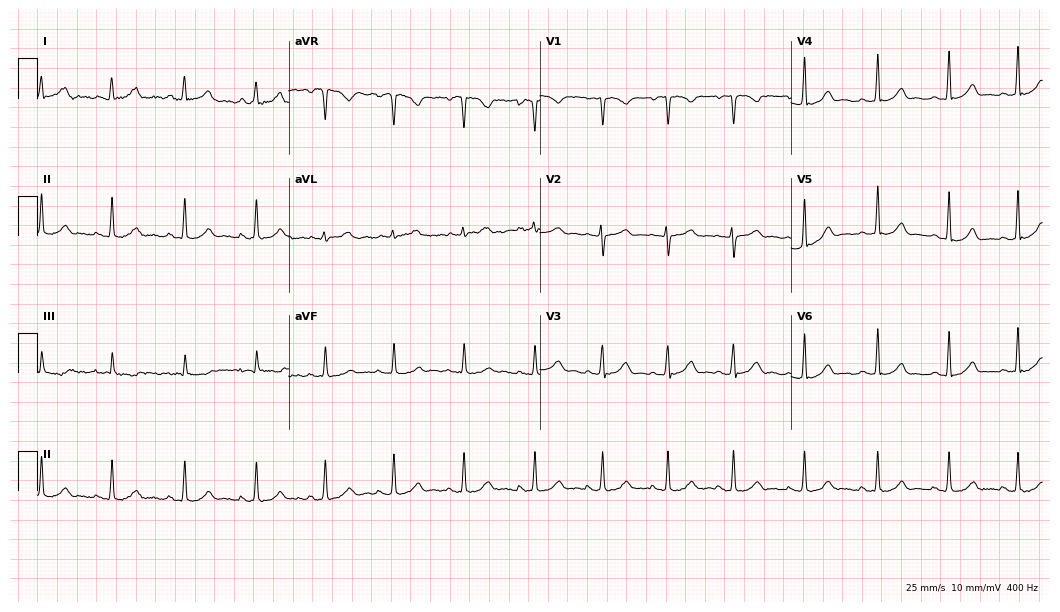
Standard 12-lead ECG recorded from a 20-year-old female patient. Read as a normal ECG.